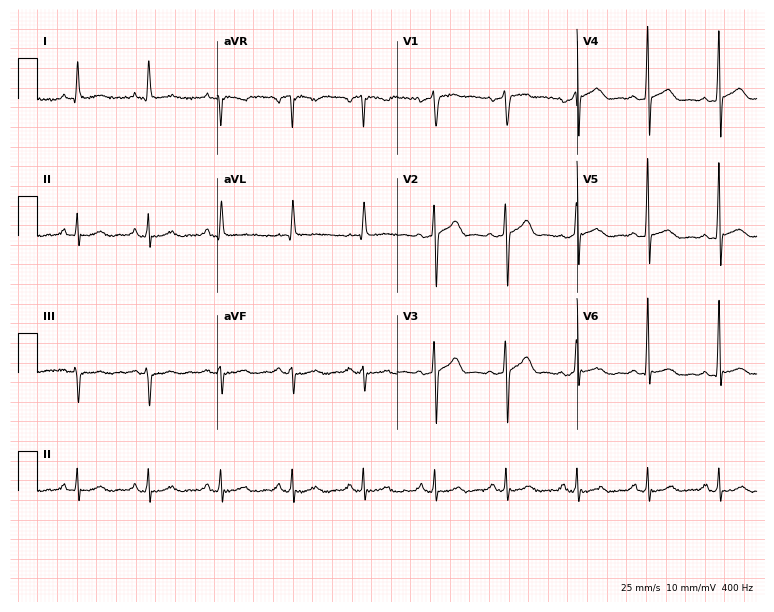
12-lead ECG from a 56-year-old male patient (7.3-second recording at 400 Hz). No first-degree AV block, right bundle branch block (RBBB), left bundle branch block (LBBB), sinus bradycardia, atrial fibrillation (AF) or sinus tachycardia recorded for this tracing. Only these six findings were labelled.